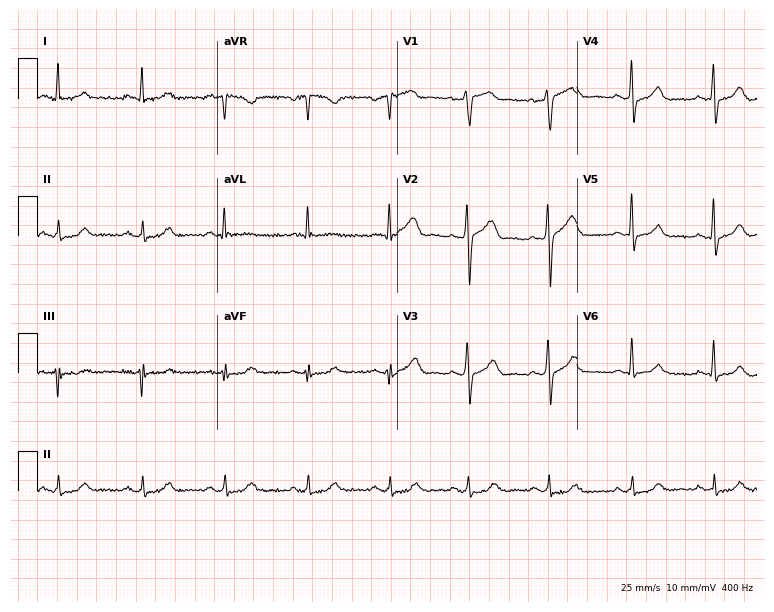
12-lead ECG from a 56-year-old male. Labelled as a normal ECG.